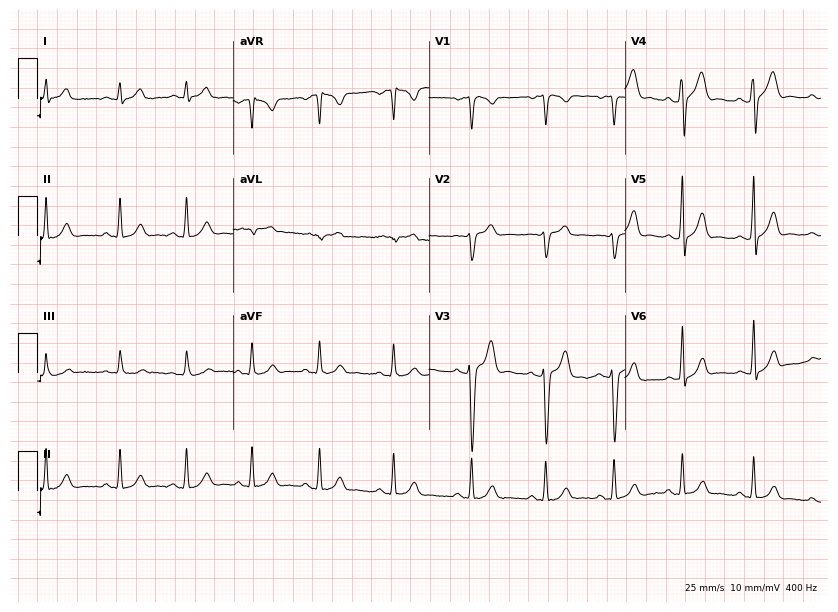
Electrocardiogram, a man, 20 years old. Of the six screened findings (first-degree AV block, right bundle branch block (RBBB), left bundle branch block (LBBB), sinus bradycardia, atrial fibrillation (AF), sinus tachycardia), none is recorded. Only these six findings were labelled.